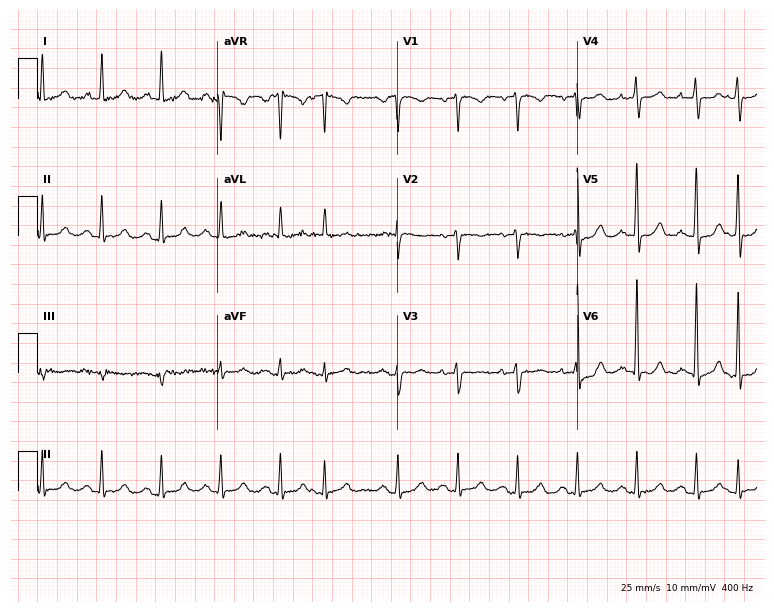
ECG (7.3-second recording at 400 Hz) — a 67-year-old female. Screened for six findings — first-degree AV block, right bundle branch block (RBBB), left bundle branch block (LBBB), sinus bradycardia, atrial fibrillation (AF), sinus tachycardia — none is recorded. Other findings, if any, are not listed.